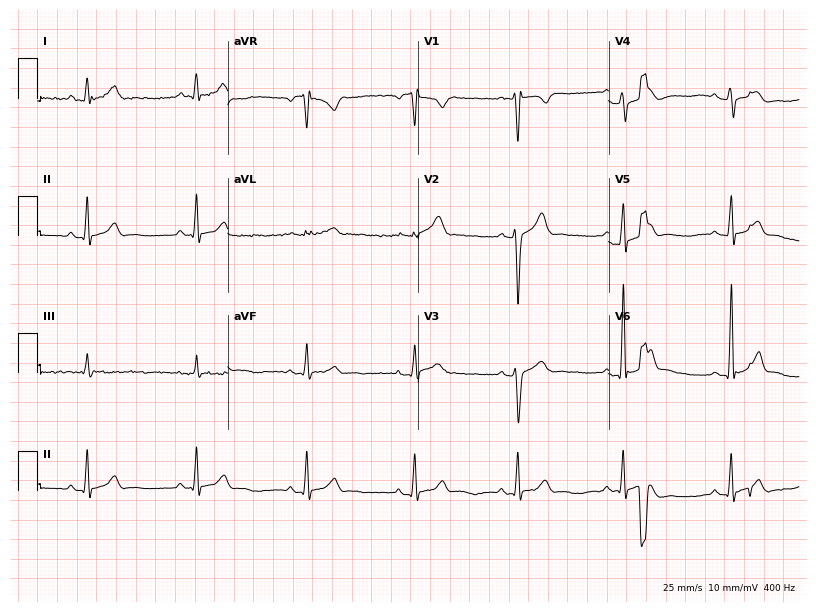
12-lead ECG from a 31-year-old man (7.8-second recording at 400 Hz). Recorded interpretation: within normal limits.